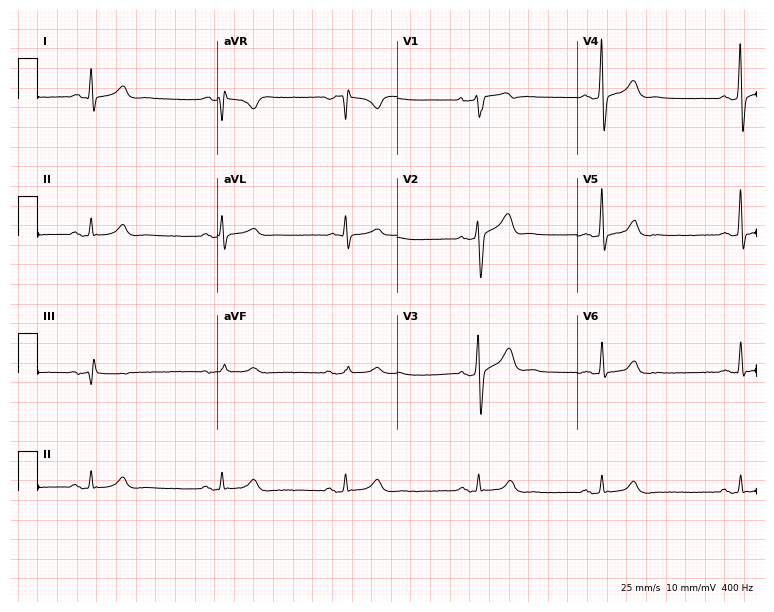
ECG (7.3-second recording at 400 Hz) — a 45-year-old man. Screened for six findings — first-degree AV block, right bundle branch block, left bundle branch block, sinus bradycardia, atrial fibrillation, sinus tachycardia — none is recorded. Other findings, if any, are not listed.